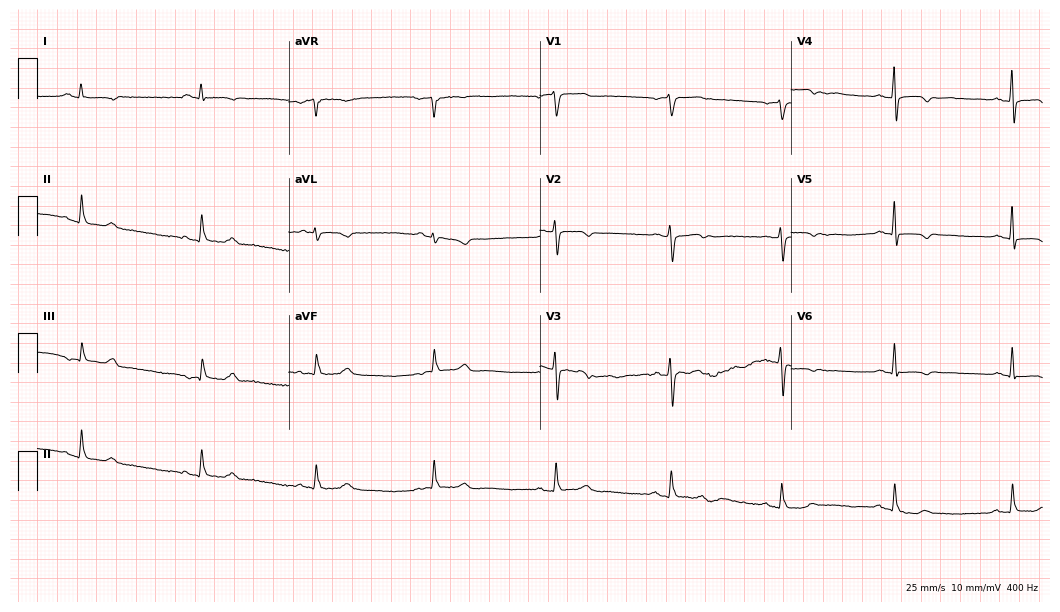
Electrocardiogram, a man, 73 years old. Of the six screened findings (first-degree AV block, right bundle branch block, left bundle branch block, sinus bradycardia, atrial fibrillation, sinus tachycardia), none is recorded. Only these six findings were labelled.